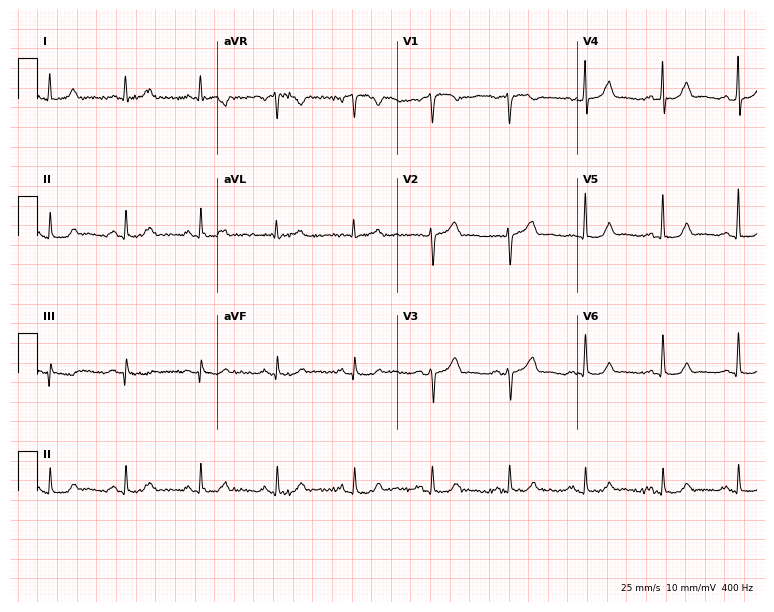
12-lead ECG from a 63-year-old male patient. Labelled as a normal ECG.